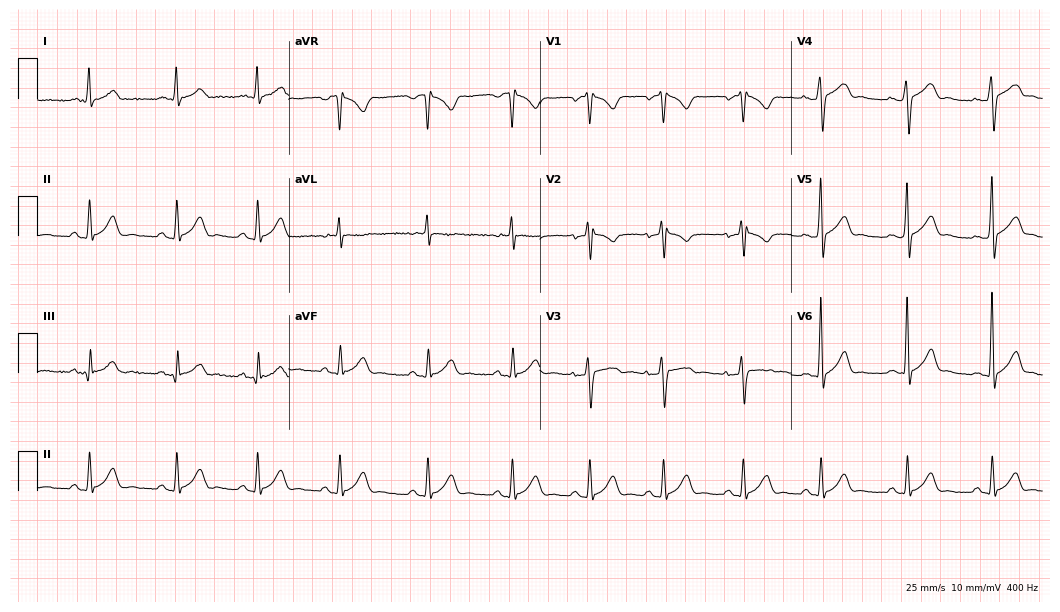
Standard 12-lead ECG recorded from a 32-year-old man. Read as a normal ECG.